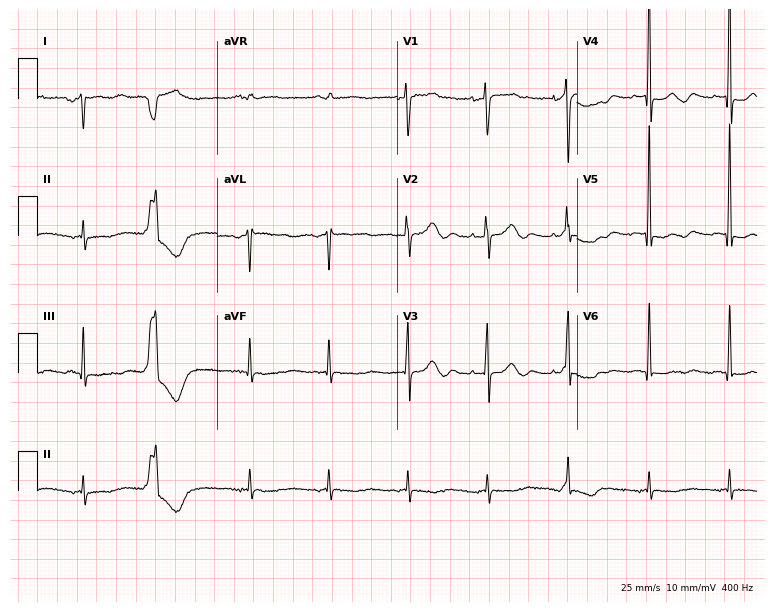
12-lead ECG (7.3-second recording at 400 Hz) from a 66-year-old man. Screened for six findings — first-degree AV block, right bundle branch block, left bundle branch block, sinus bradycardia, atrial fibrillation, sinus tachycardia — none is recorded. Findings outside these six are not listed.